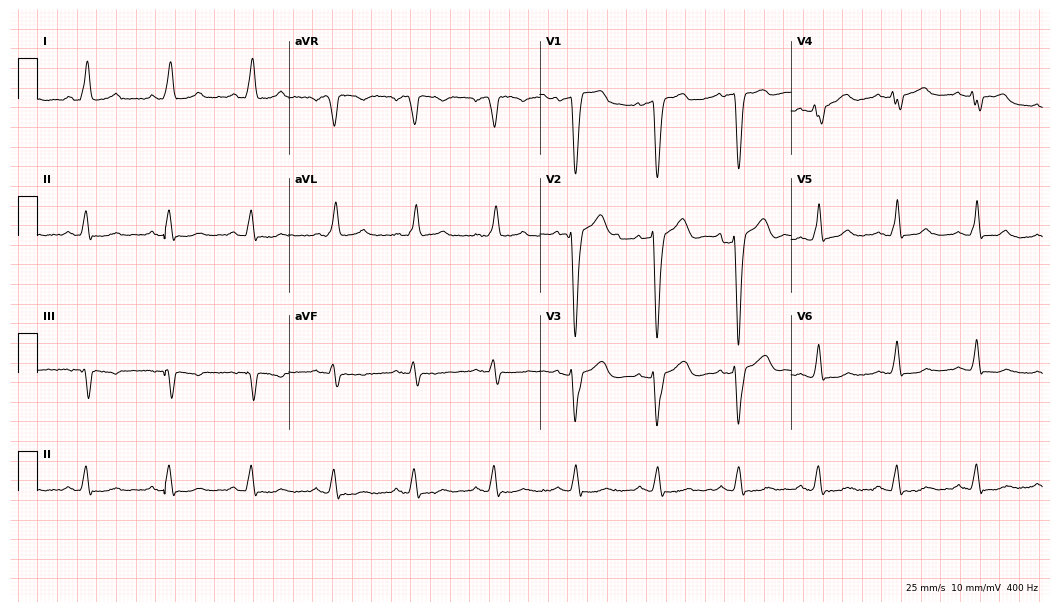
12-lead ECG from a male, 66 years old. Findings include left bundle branch block (LBBB).